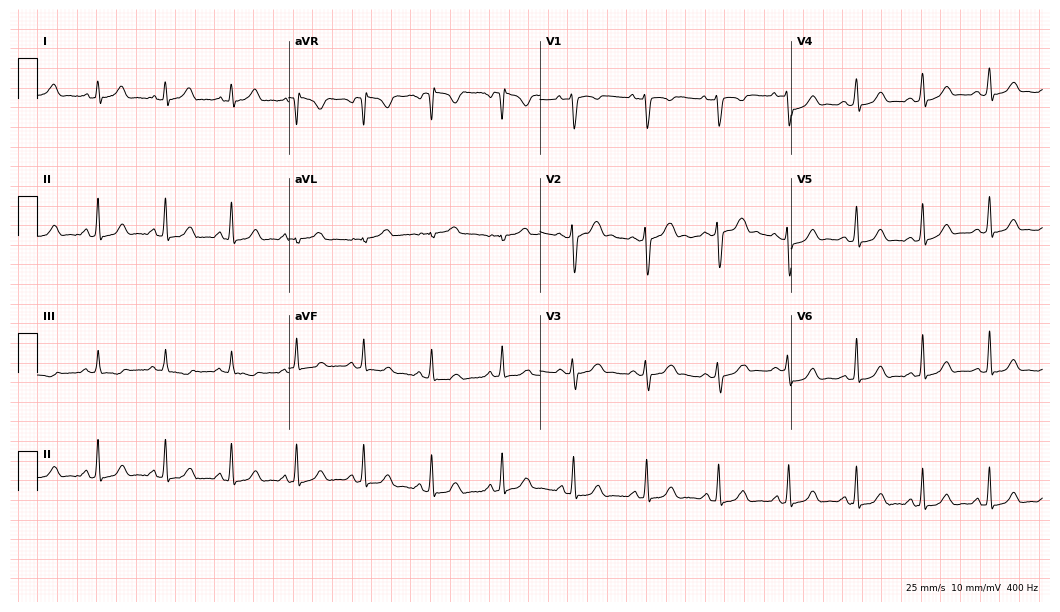
12-lead ECG (10.2-second recording at 400 Hz) from a 25-year-old female patient. Labelled as a normal ECG.